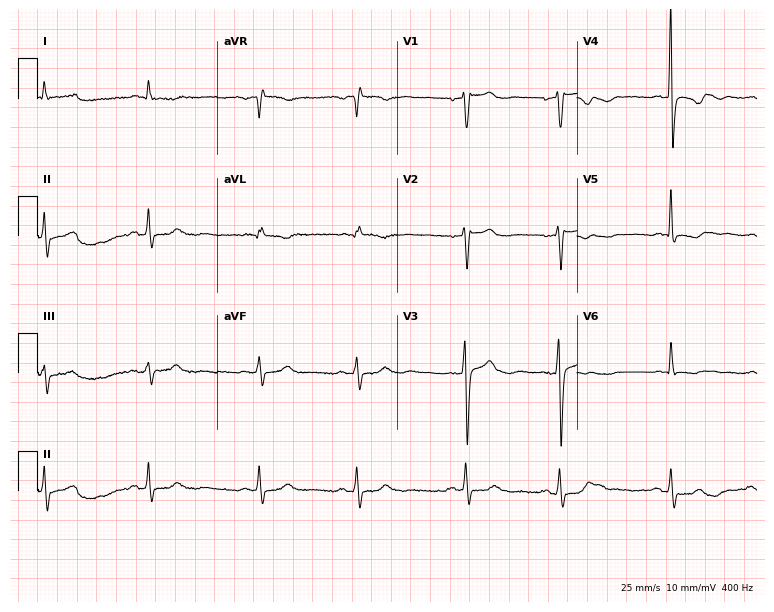
12-lead ECG from a male, 74 years old (7.3-second recording at 400 Hz). No first-degree AV block, right bundle branch block, left bundle branch block, sinus bradycardia, atrial fibrillation or sinus tachycardia recorded for this tracing. Findings outside these six are not listed.